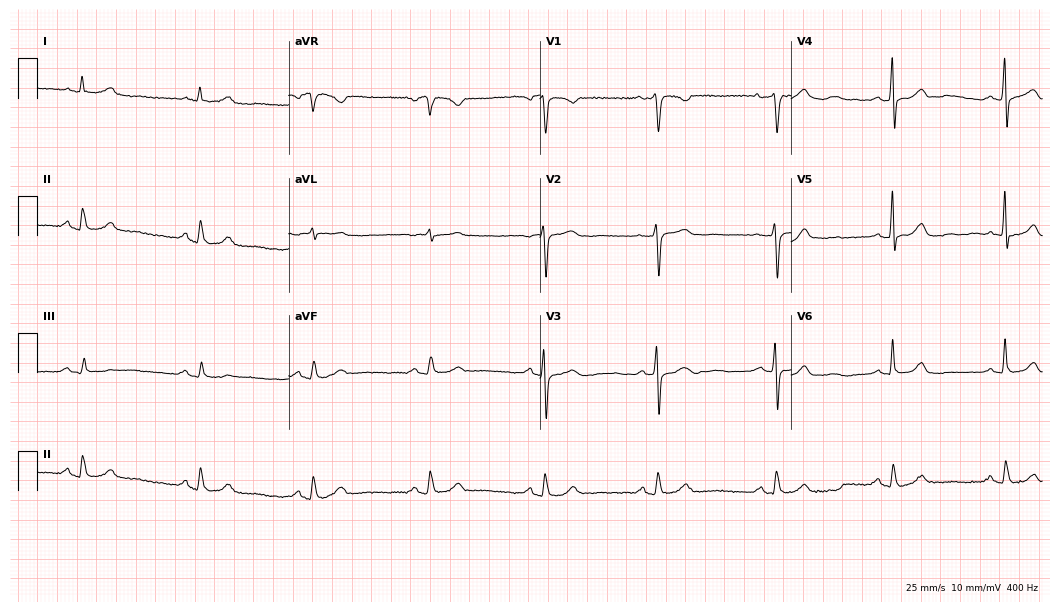
12-lead ECG from a 73-year-old female (10.2-second recording at 400 Hz). Recorded interpretation: within normal limits.